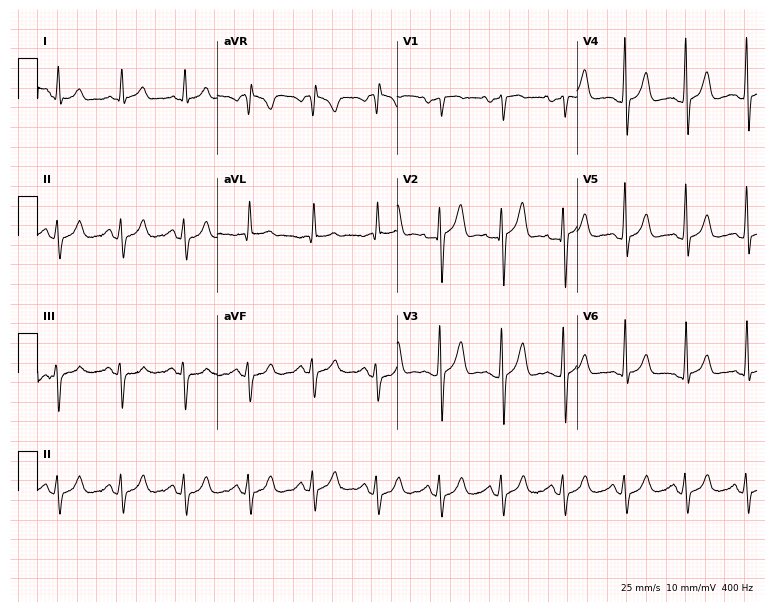
Resting 12-lead electrocardiogram. Patient: a male, 62 years old. None of these six findings is recorded: first-degree AV block, right bundle branch block, left bundle branch block, sinus bradycardia, atrial fibrillation, sinus tachycardia. Only these six findings were labelled.